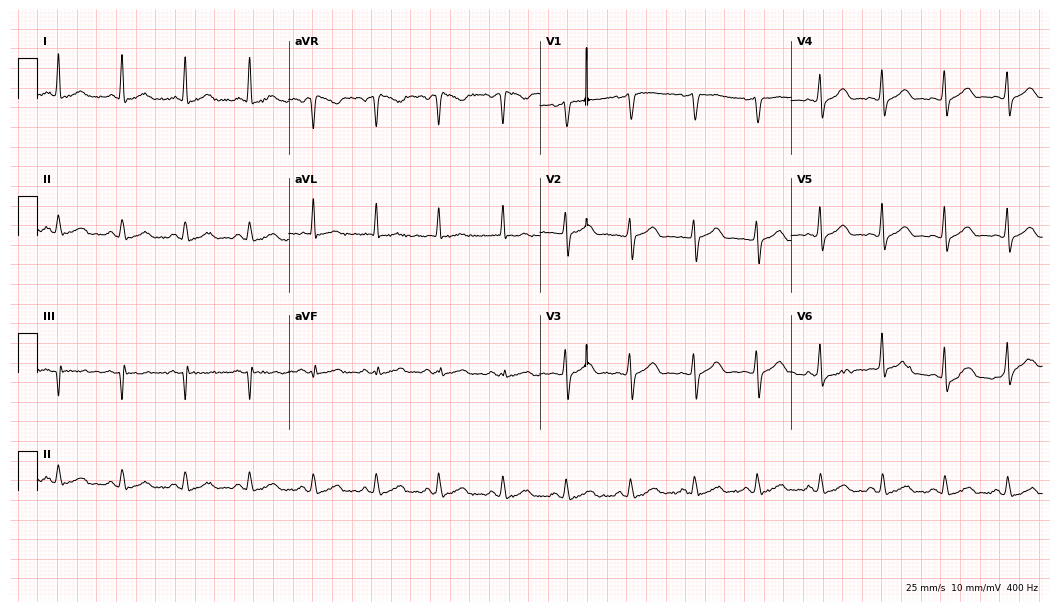
Standard 12-lead ECG recorded from a 47-year-old female (10.2-second recording at 400 Hz). Read as a normal ECG.